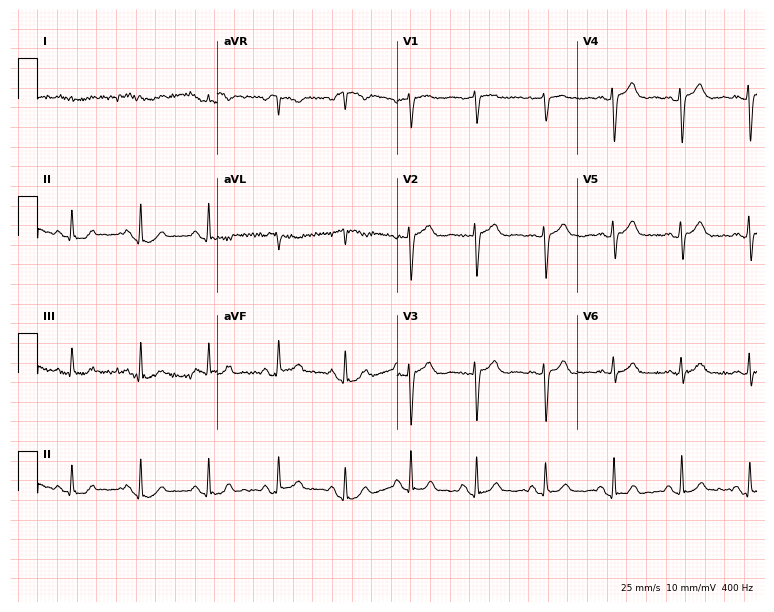
12-lead ECG from an 86-year-old male patient. No first-degree AV block, right bundle branch block, left bundle branch block, sinus bradycardia, atrial fibrillation or sinus tachycardia recorded for this tracing. Only these six findings were labelled.